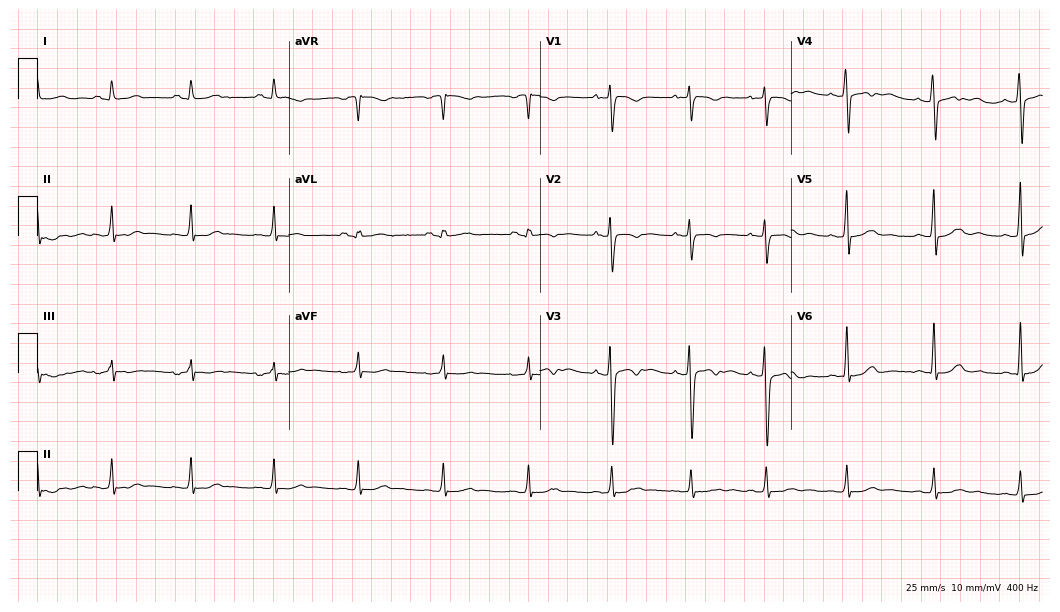
ECG (10.2-second recording at 400 Hz) — a female patient, 27 years old. Labelled as a normal ECG.